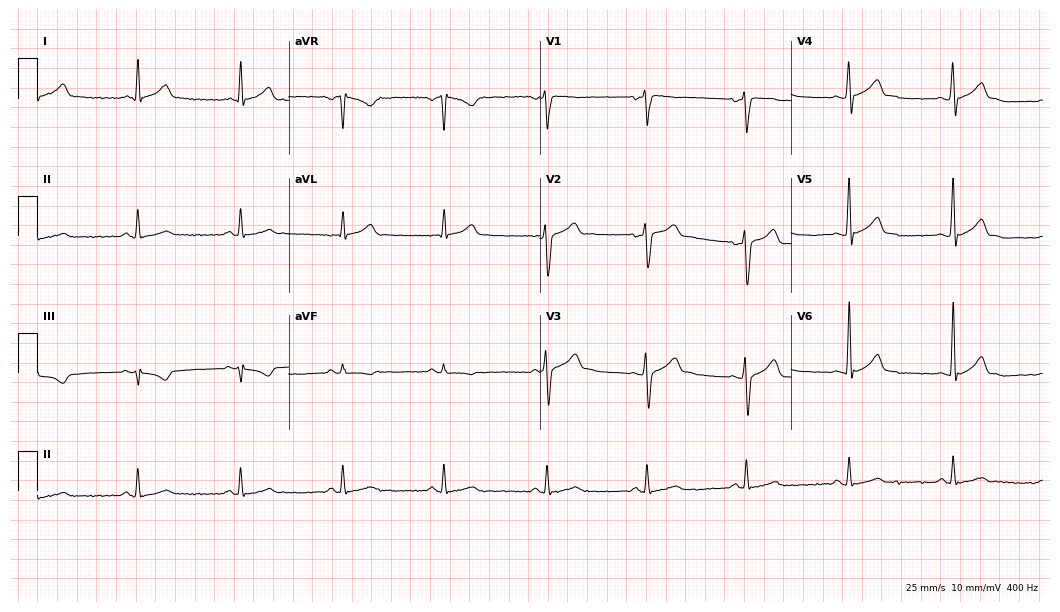
Electrocardiogram (10.2-second recording at 400 Hz), a 28-year-old male patient. Of the six screened findings (first-degree AV block, right bundle branch block, left bundle branch block, sinus bradycardia, atrial fibrillation, sinus tachycardia), none is recorded.